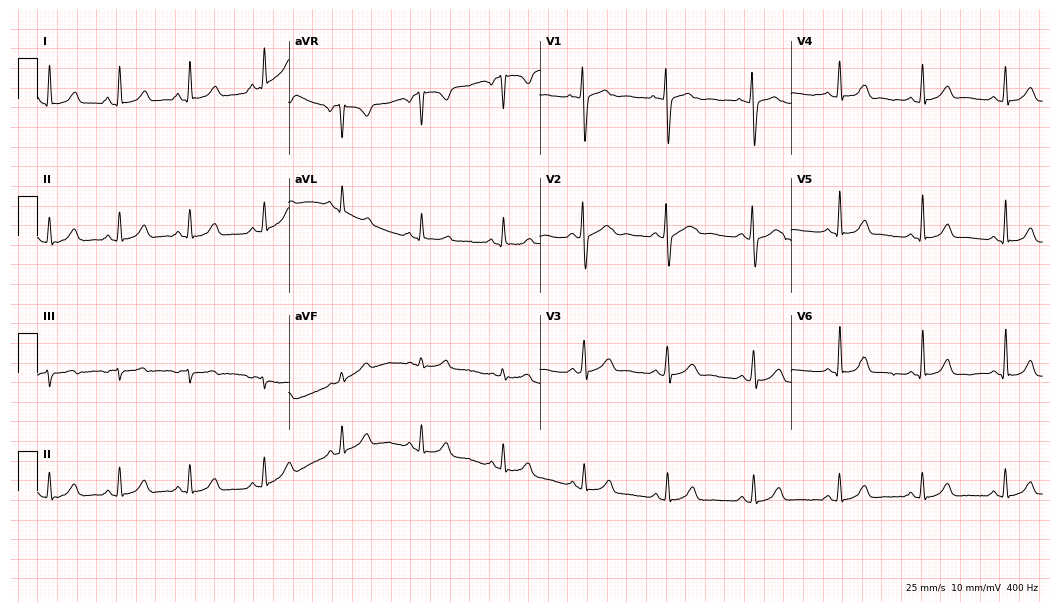
12-lead ECG from a female patient, 25 years old. Labelled as a normal ECG.